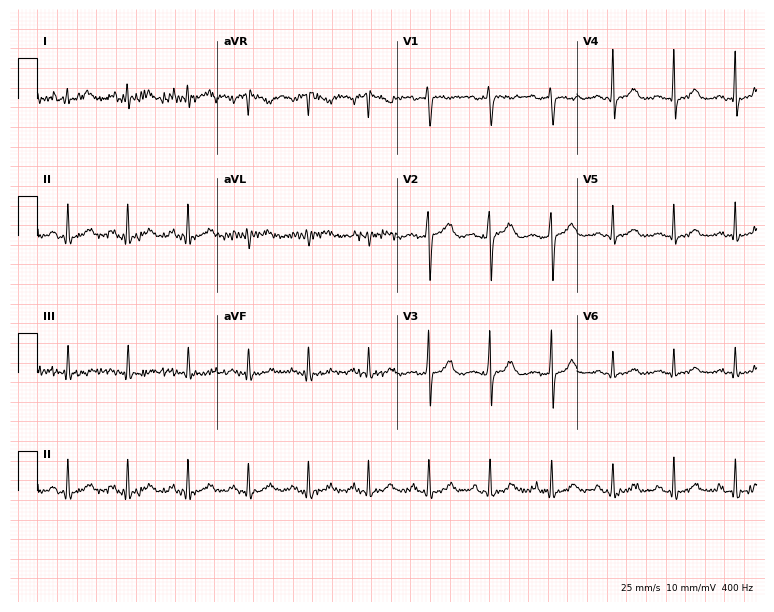
12-lead ECG from a woman, 42 years old. Recorded interpretation: within normal limits.